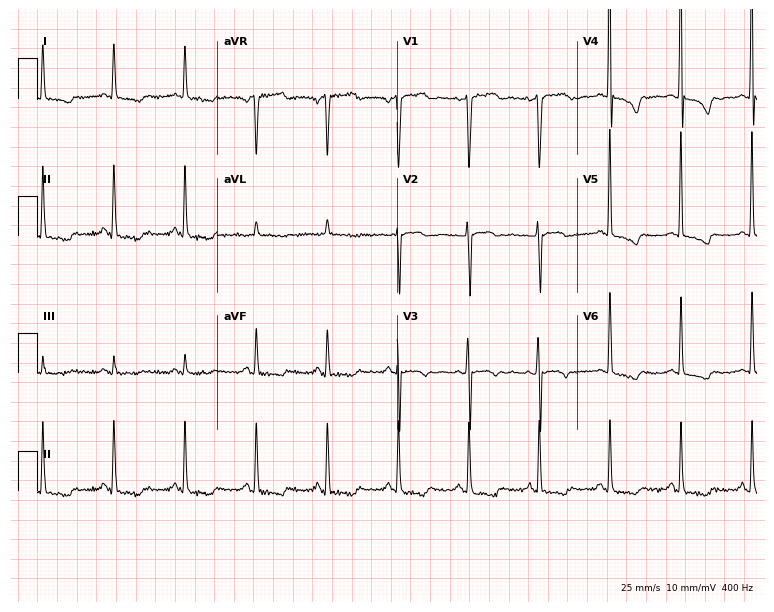
12-lead ECG from a 75-year-old male patient. No first-degree AV block, right bundle branch block, left bundle branch block, sinus bradycardia, atrial fibrillation or sinus tachycardia recorded for this tracing. Findings outside these six are not listed.